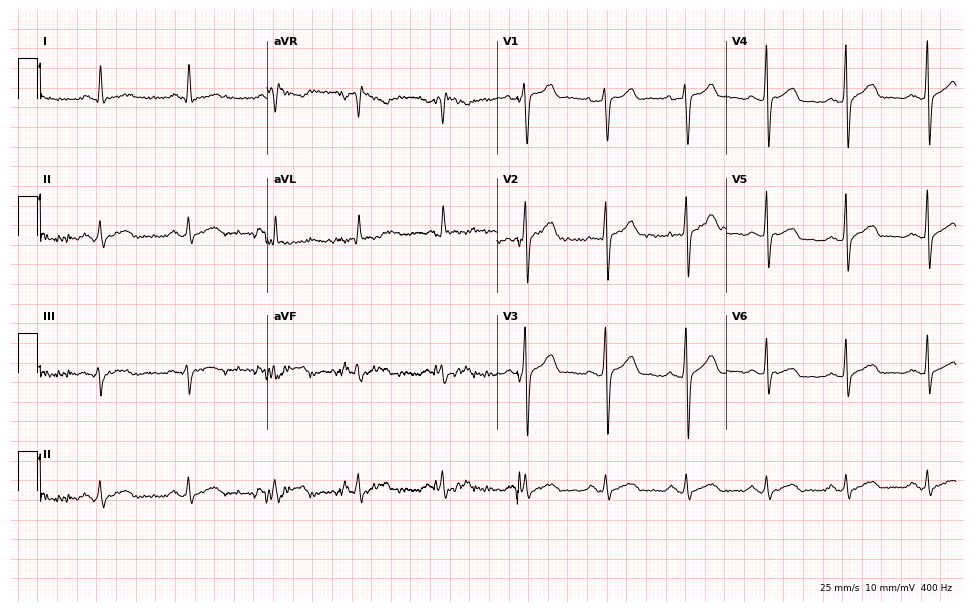
ECG — a male, 38 years old. Screened for six findings — first-degree AV block, right bundle branch block (RBBB), left bundle branch block (LBBB), sinus bradycardia, atrial fibrillation (AF), sinus tachycardia — none is recorded. Other findings, if any, are not listed.